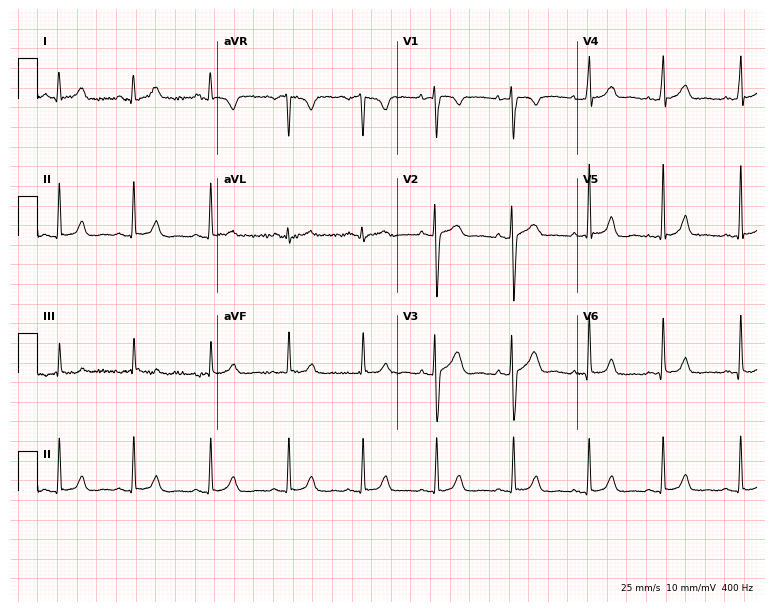
Electrocardiogram (7.3-second recording at 400 Hz), a woman, 29 years old. Of the six screened findings (first-degree AV block, right bundle branch block, left bundle branch block, sinus bradycardia, atrial fibrillation, sinus tachycardia), none is recorded.